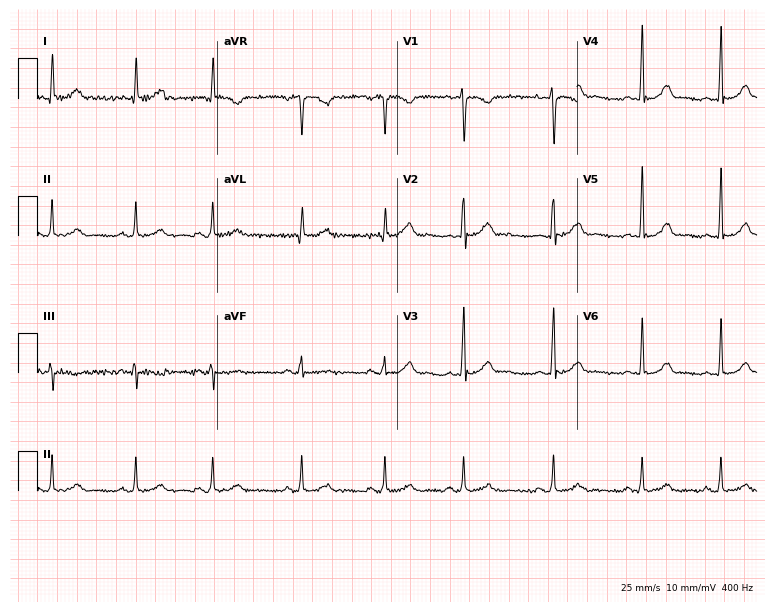
Standard 12-lead ECG recorded from an 18-year-old woman. None of these six findings is recorded: first-degree AV block, right bundle branch block (RBBB), left bundle branch block (LBBB), sinus bradycardia, atrial fibrillation (AF), sinus tachycardia.